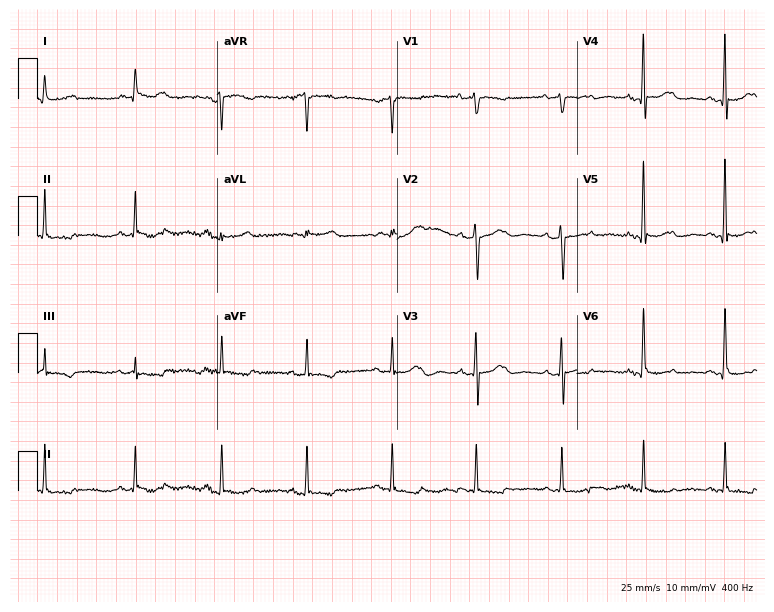
Resting 12-lead electrocardiogram. Patient: a 73-year-old female. None of these six findings is recorded: first-degree AV block, right bundle branch block, left bundle branch block, sinus bradycardia, atrial fibrillation, sinus tachycardia. Only these six findings were labelled.